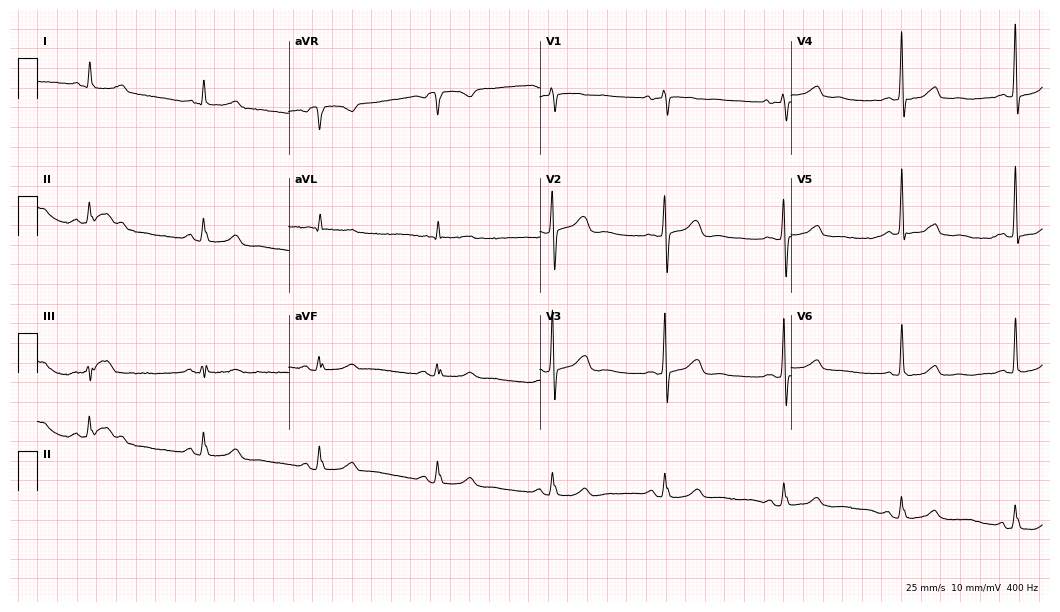
12-lead ECG from a 57-year-old female (10.2-second recording at 400 Hz). No first-degree AV block, right bundle branch block (RBBB), left bundle branch block (LBBB), sinus bradycardia, atrial fibrillation (AF) or sinus tachycardia recorded for this tracing. Only these six findings were labelled.